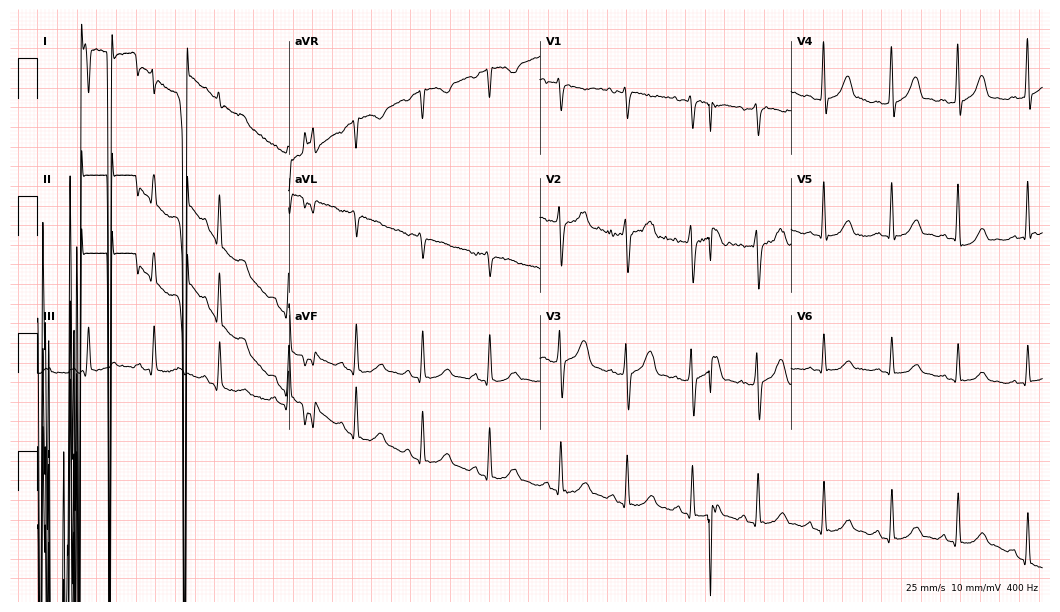
Electrocardiogram, a 58-year-old male. Of the six screened findings (first-degree AV block, right bundle branch block (RBBB), left bundle branch block (LBBB), sinus bradycardia, atrial fibrillation (AF), sinus tachycardia), none is recorded. Other findings, if any, are not listed.